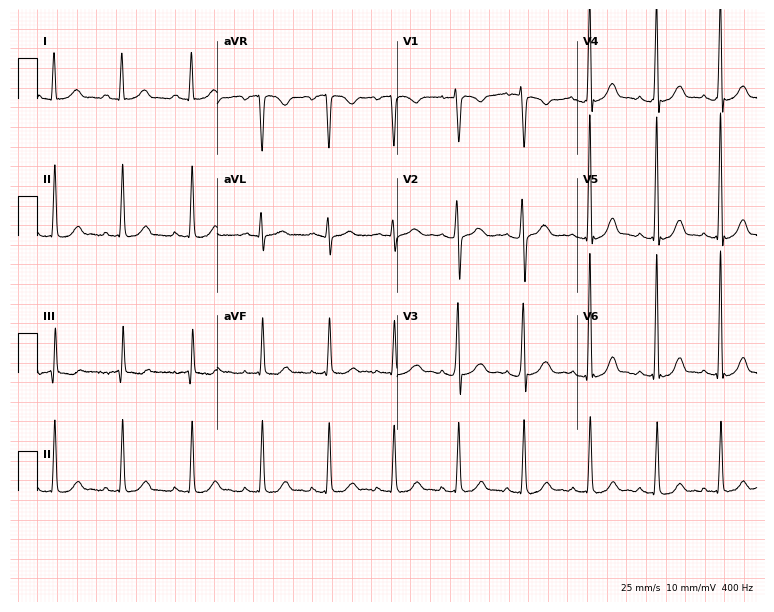
Standard 12-lead ECG recorded from a female patient, 27 years old. None of these six findings is recorded: first-degree AV block, right bundle branch block (RBBB), left bundle branch block (LBBB), sinus bradycardia, atrial fibrillation (AF), sinus tachycardia.